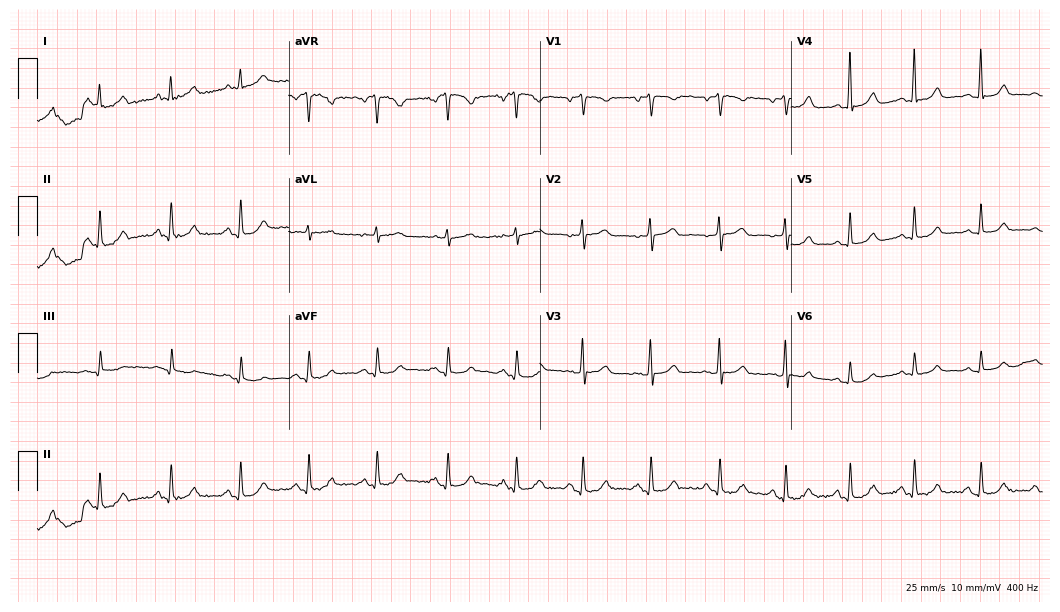
ECG (10.2-second recording at 400 Hz) — a female, 45 years old. Labelled as a normal ECG.